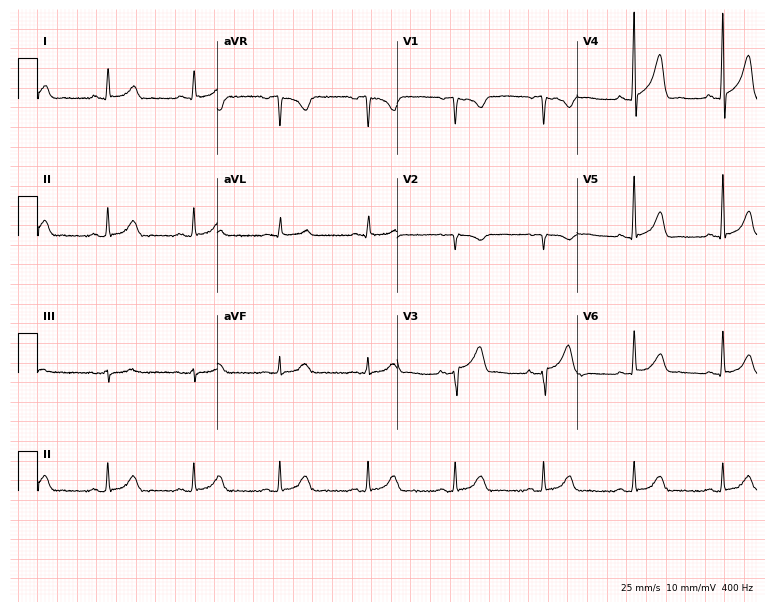
Resting 12-lead electrocardiogram. Patient: a male, 53 years old. None of these six findings is recorded: first-degree AV block, right bundle branch block (RBBB), left bundle branch block (LBBB), sinus bradycardia, atrial fibrillation (AF), sinus tachycardia. Findings outside these six are not listed.